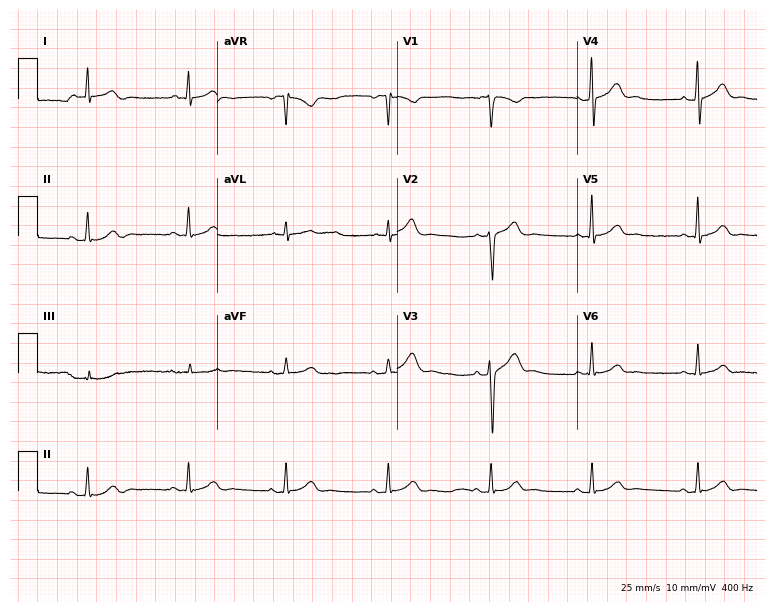
Standard 12-lead ECG recorded from a man, 38 years old (7.3-second recording at 400 Hz). Read as a normal ECG.